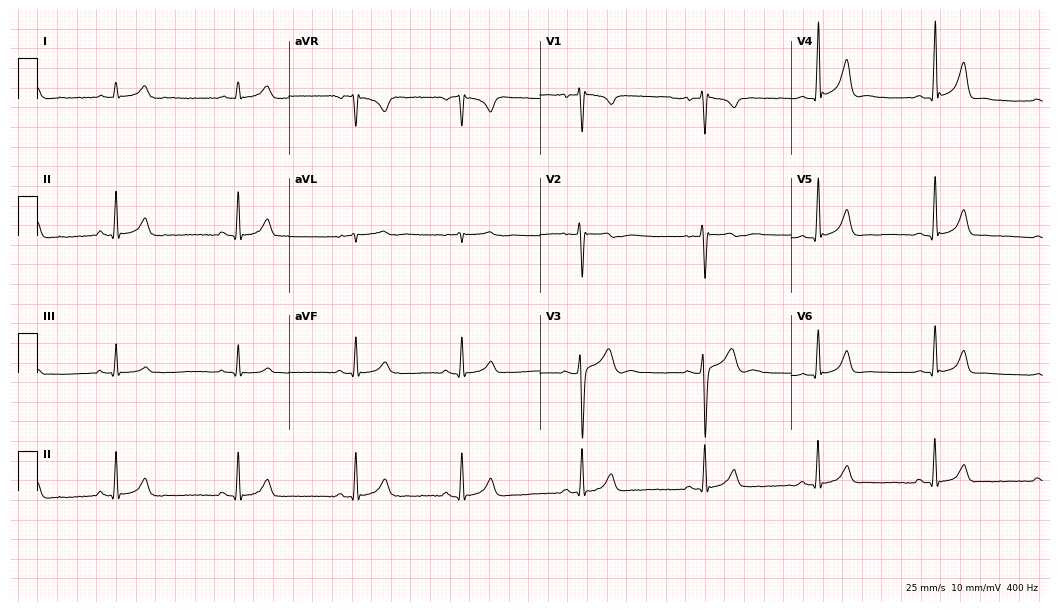
Electrocardiogram (10.2-second recording at 400 Hz), a 20-year-old male. Overall reading on record: normal ECG.